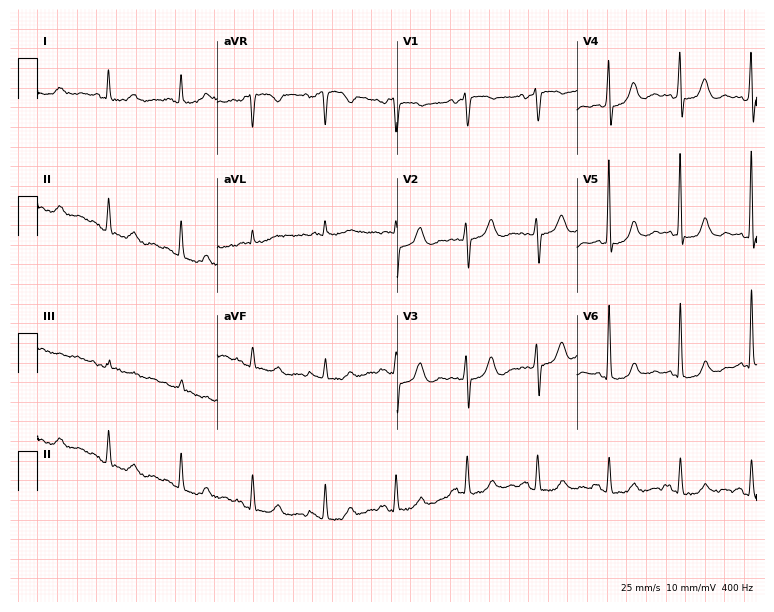
Resting 12-lead electrocardiogram (7.3-second recording at 400 Hz). Patient: an 81-year-old woman. None of these six findings is recorded: first-degree AV block, right bundle branch block, left bundle branch block, sinus bradycardia, atrial fibrillation, sinus tachycardia.